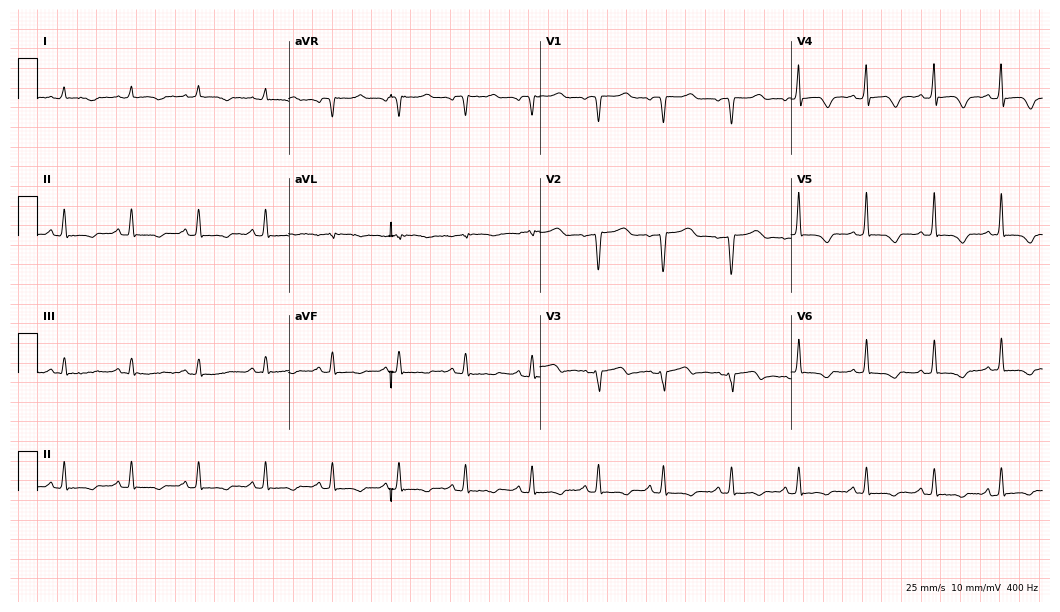
12-lead ECG from a 69-year-old female patient (10.2-second recording at 400 Hz). No first-degree AV block, right bundle branch block, left bundle branch block, sinus bradycardia, atrial fibrillation or sinus tachycardia recorded for this tracing. Findings outside these six are not listed.